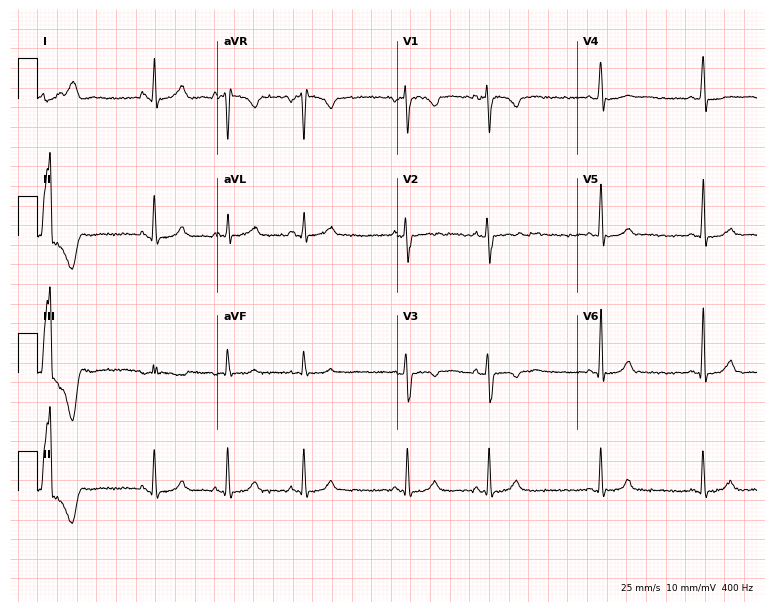
ECG (7.3-second recording at 400 Hz) — a woman, 20 years old. Screened for six findings — first-degree AV block, right bundle branch block, left bundle branch block, sinus bradycardia, atrial fibrillation, sinus tachycardia — none is recorded. Only these six findings were labelled.